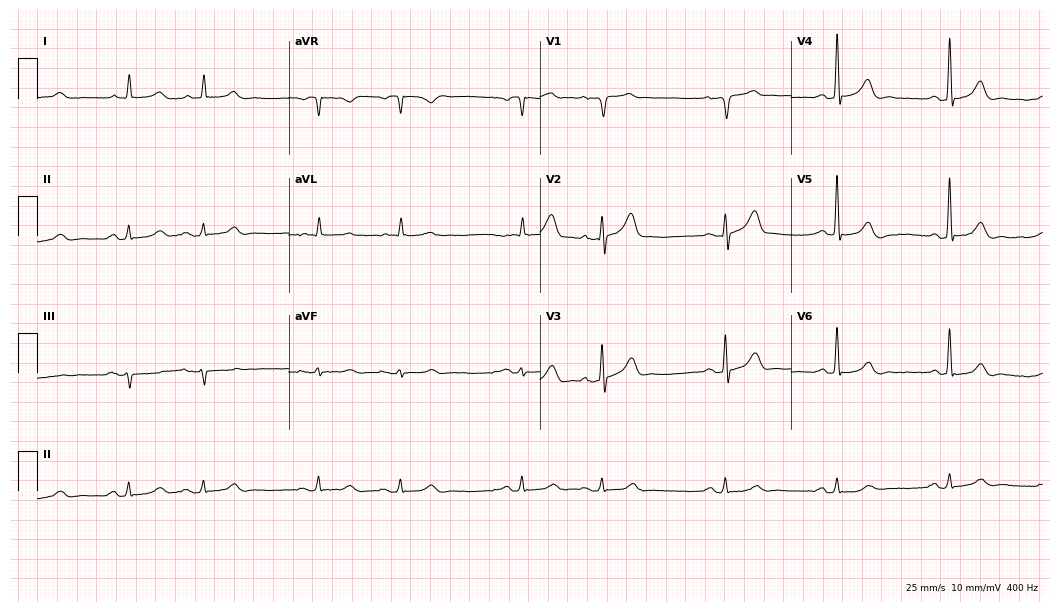
Resting 12-lead electrocardiogram (10.2-second recording at 400 Hz). Patient: a male, 80 years old. None of these six findings is recorded: first-degree AV block, right bundle branch block, left bundle branch block, sinus bradycardia, atrial fibrillation, sinus tachycardia. Other findings, if any, are not listed.